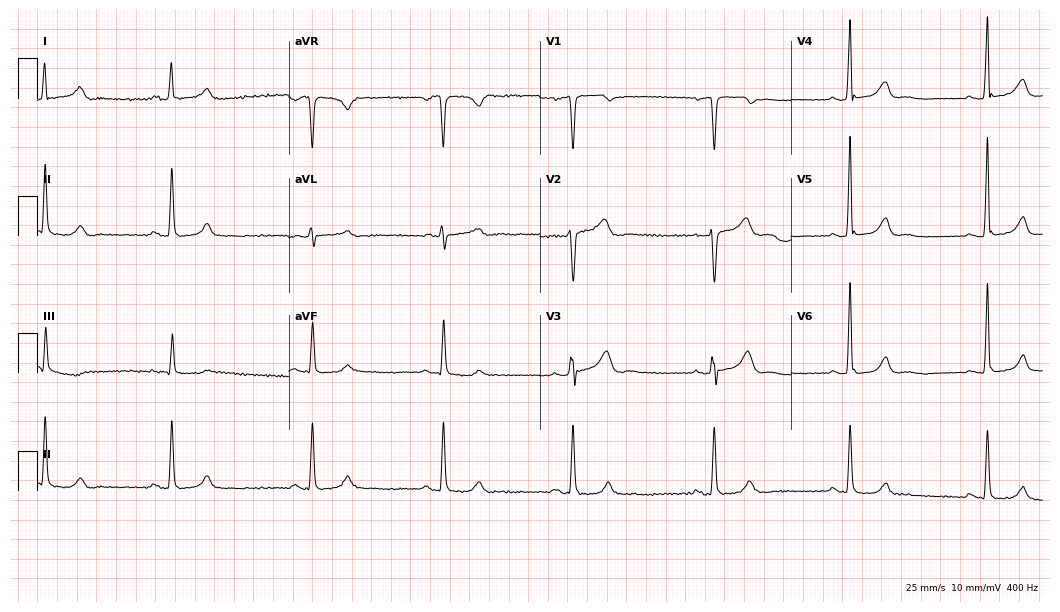
Standard 12-lead ECG recorded from a woman, 64 years old. The tracing shows sinus bradycardia (a sinus rate of 50 beats per minute or less).